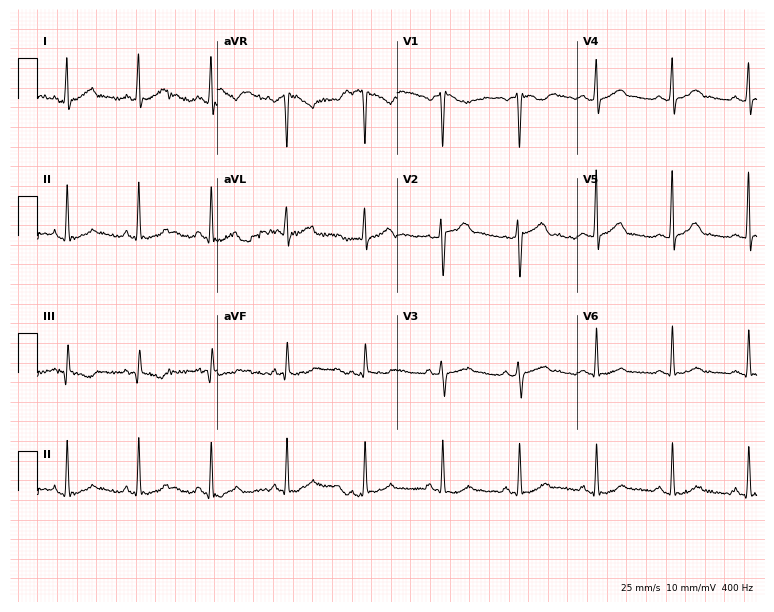
12-lead ECG from a male patient, 40 years old. Labelled as a normal ECG.